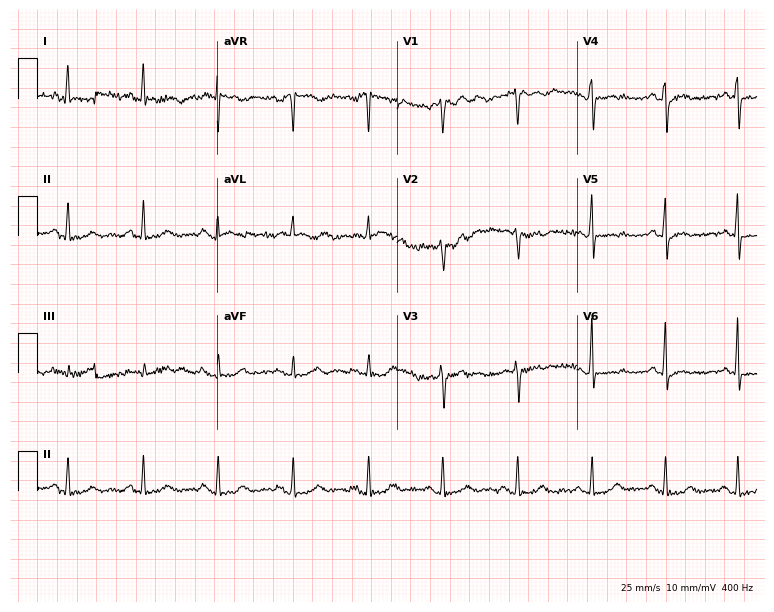
ECG — a 66-year-old female. Screened for six findings — first-degree AV block, right bundle branch block (RBBB), left bundle branch block (LBBB), sinus bradycardia, atrial fibrillation (AF), sinus tachycardia — none is recorded. Other findings, if any, are not listed.